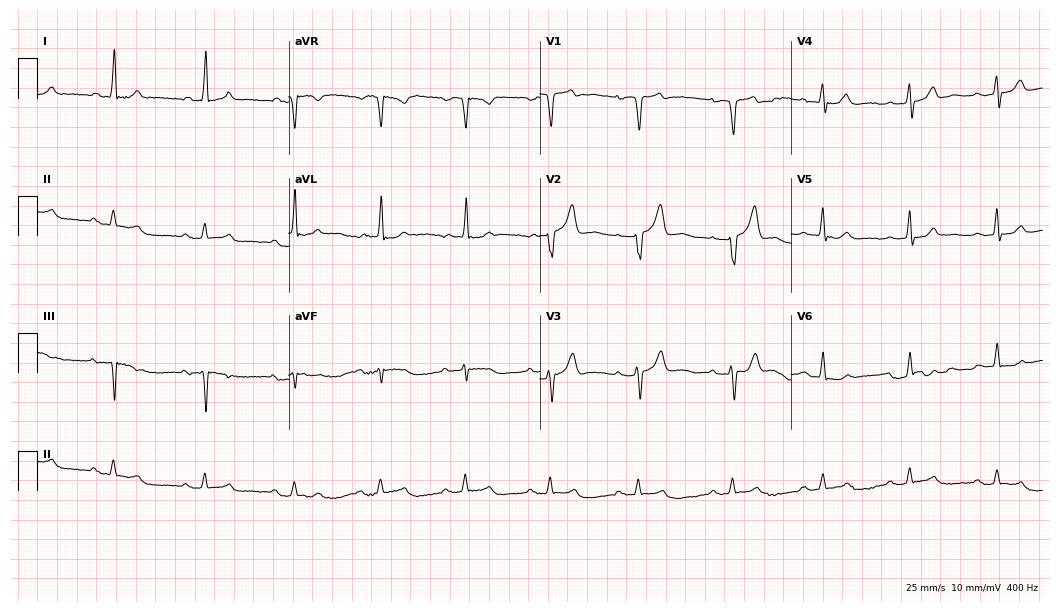
Resting 12-lead electrocardiogram. Patient: a male, 83 years old. Read as a normal ECG.